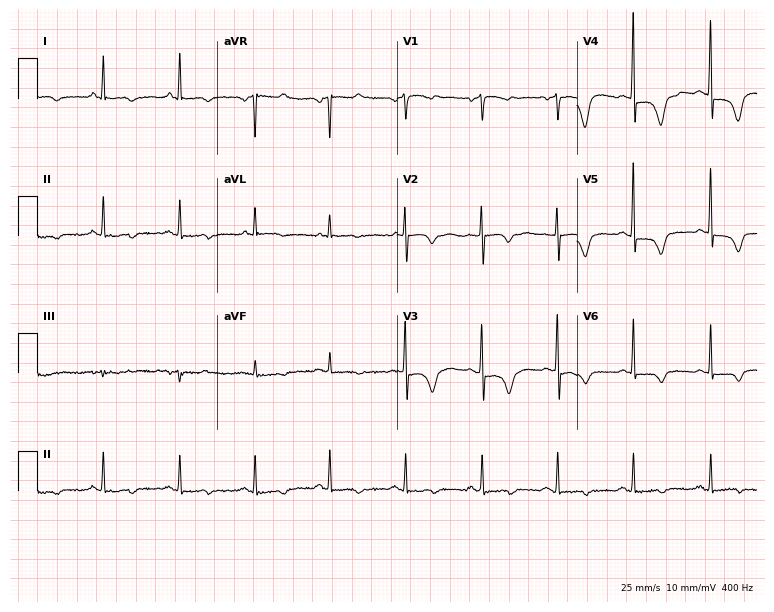
ECG — a 63-year-old female. Screened for six findings — first-degree AV block, right bundle branch block, left bundle branch block, sinus bradycardia, atrial fibrillation, sinus tachycardia — none is recorded. Other findings, if any, are not listed.